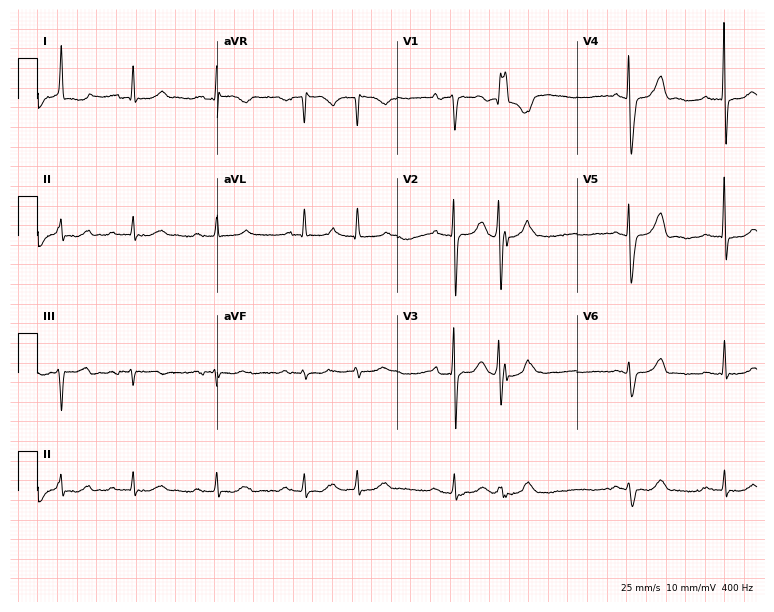
12-lead ECG (7.3-second recording at 400 Hz) from a male patient, 84 years old. Screened for six findings — first-degree AV block, right bundle branch block, left bundle branch block, sinus bradycardia, atrial fibrillation, sinus tachycardia — none is recorded.